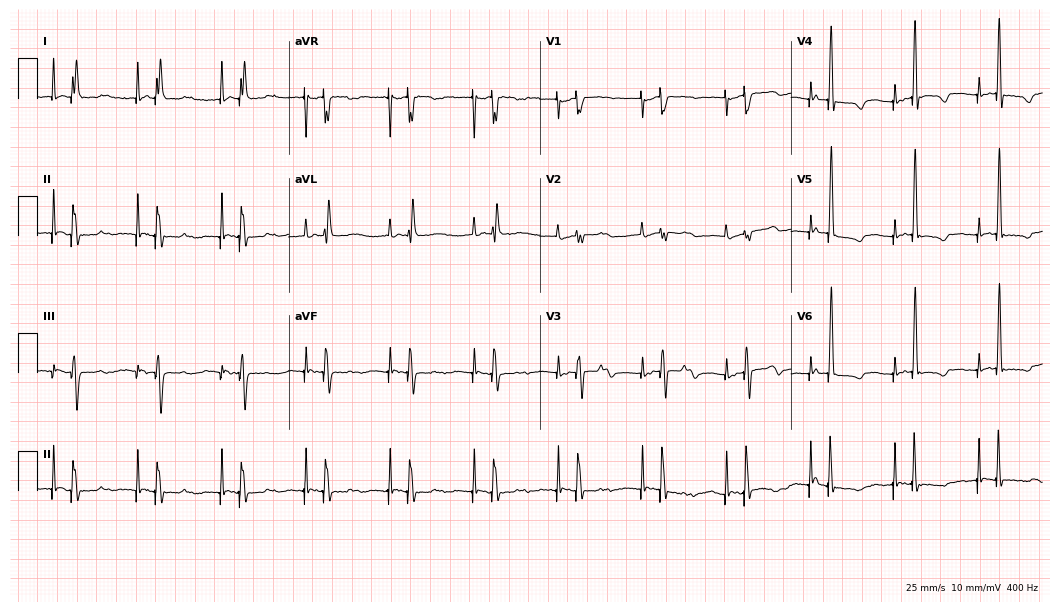
Resting 12-lead electrocardiogram (10.2-second recording at 400 Hz). Patient: a male, 74 years old. None of these six findings is recorded: first-degree AV block, right bundle branch block, left bundle branch block, sinus bradycardia, atrial fibrillation, sinus tachycardia.